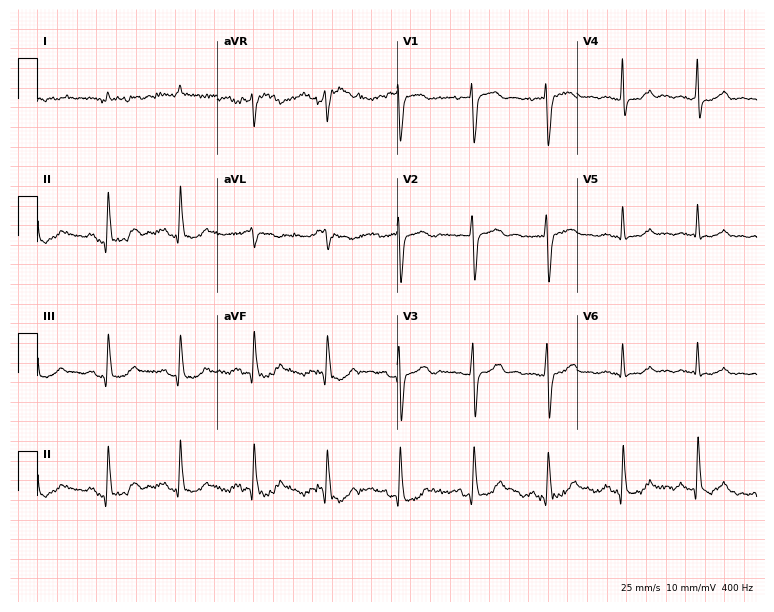
Standard 12-lead ECG recorded from a 62-year-old male patient. None of these six findings is recorded: first-degree AV block, right bundle branch block (RBBB), left bundle branch block (LBBB), sinus bradycardia, atrial fibrillation (AF), sinus tachycardia. Only these six findings were labelled.